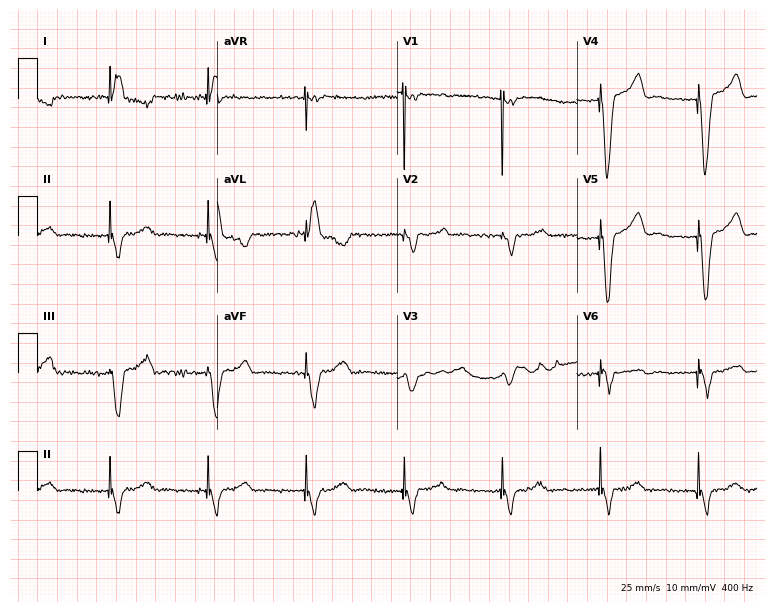
12-lead ECG from a male patient, 69 years old (7.3-second recording at 400 Hz). No first-degree AV block, right bundle branch block (RBBB), left bundle branch block (LBBB), sinus bradycardia, atrial fibrillation (AF) or sinus tachycardia recorded for this tracing.